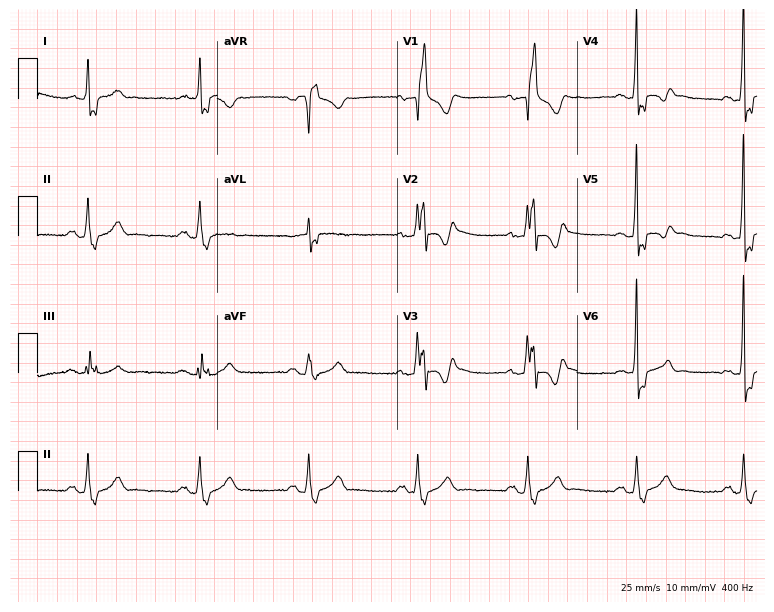
Resting 12-lead electrocardiogram (7.3-second recording at 400 Hz). Patient: a man, 54 years old. The tracing shows right bundle branch block.